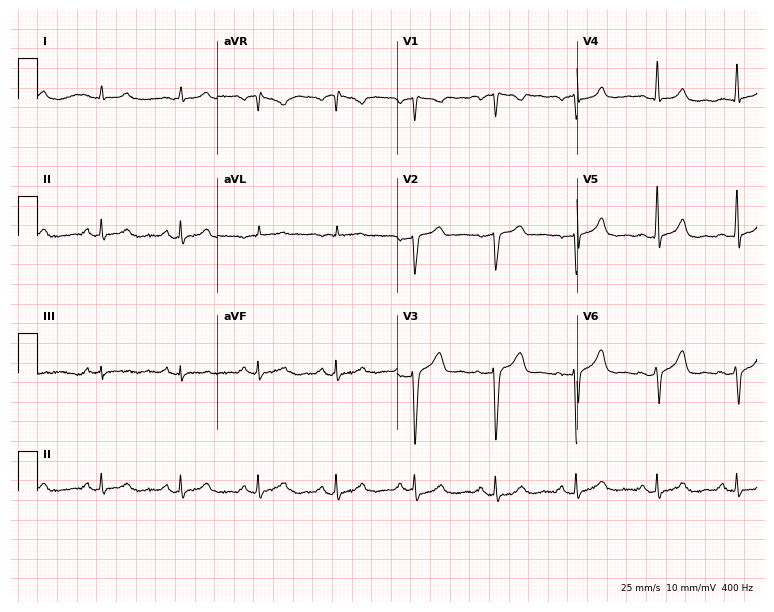
ECG (7.3-second recording at 400 Hz) — a man, 40 years old. Labelled as a normal ECG.